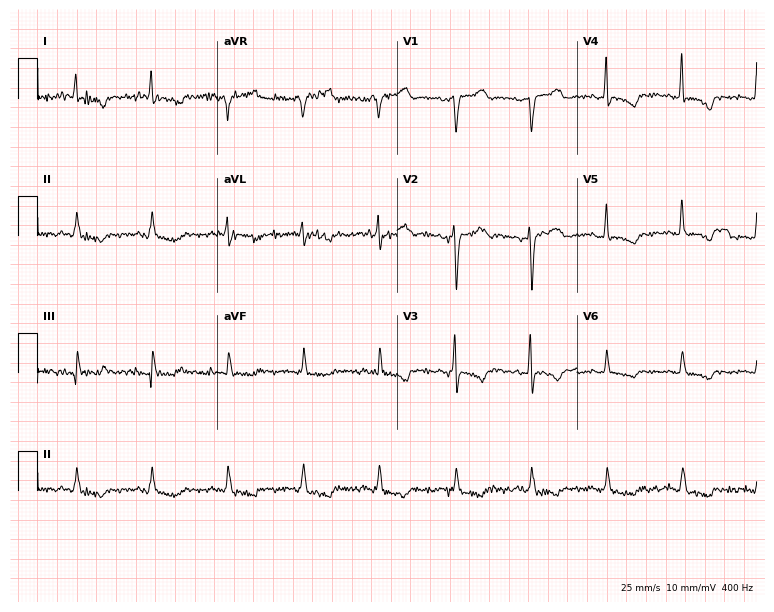
12-lead ECG from a woman, 61 years old. No first-degree AV block, right bundle branch block, left bundle branch block, sinus bradycardia, atrial fibrillation or sinus tachycardia recorded for this tracing.